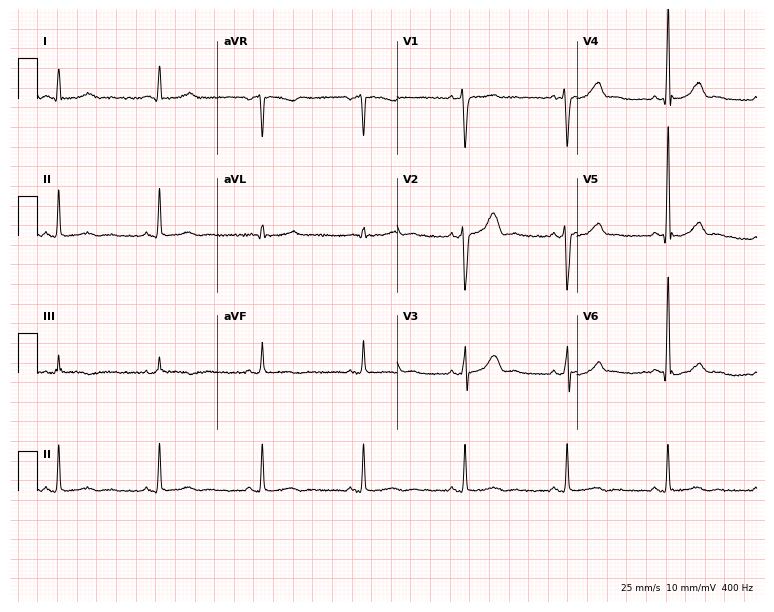
12-lead ECG from a male, 40 years old. No first-degree AV block, right bundle branch block (RBBB), left bundle branch block (LBBB), sinus bradycardia, atrial fibrillation (AF) or sinus tachycardia recorded for this tracing. Only these six findings were labelled.